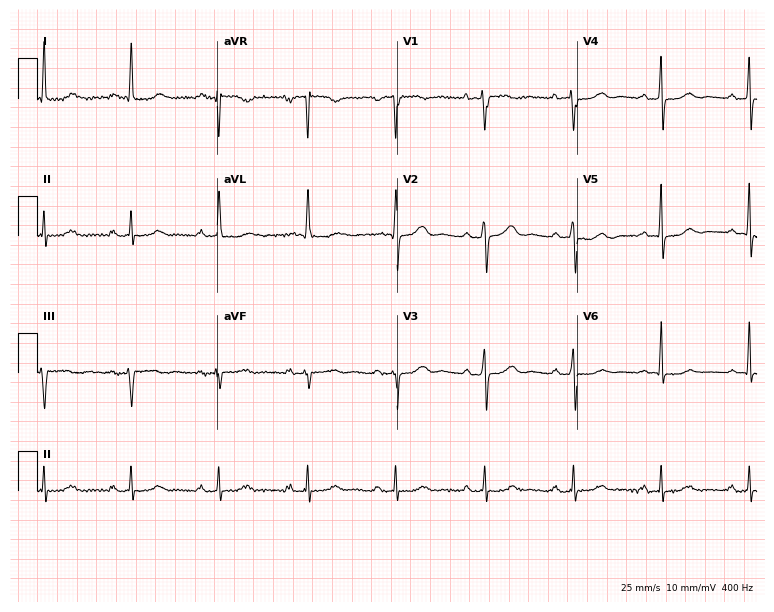
ECG (7.3-second recording at 400 Hz) — a 70-year-old female patient. Screened for six findings — first-degree AV block, right bundle branch block, left bundle branch block, sinus bradycardia, atrial fibrillation, sinus tachycardia — none is recorded.